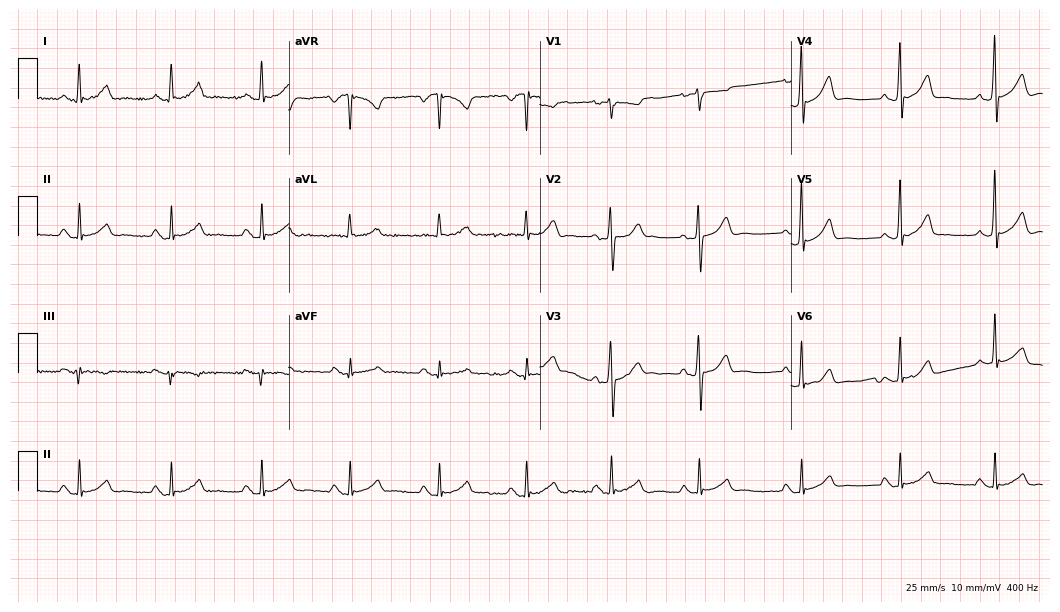
ECG (10.2-second recording at 400 Hz) — a 62-year-old female. Labelled as a normal ECG.